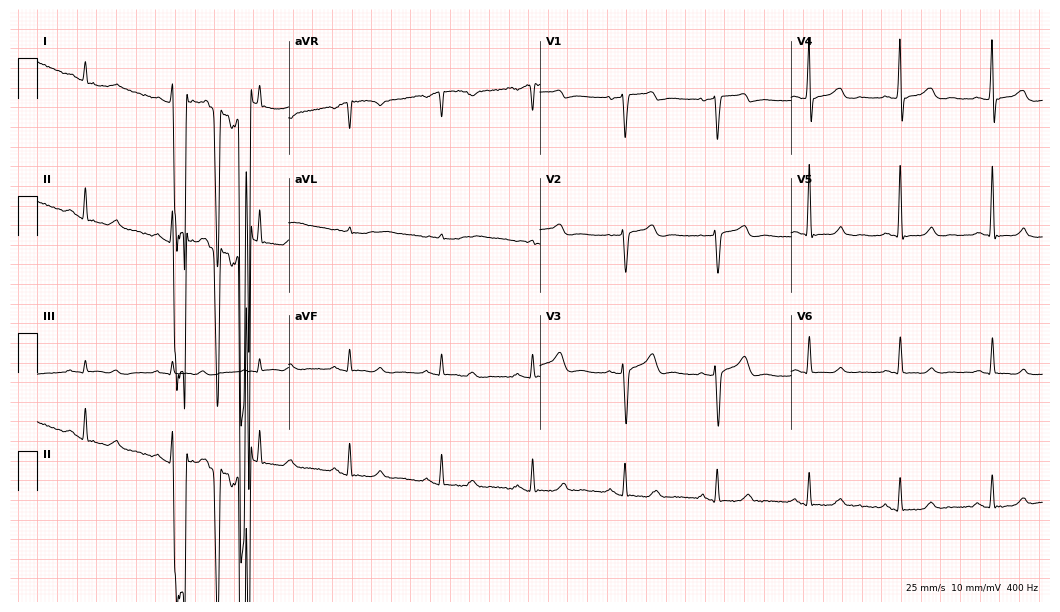
Standard 12-lead ECG recorded from a male patient, 78 years old. None of these six findings is recorded: first-degree AV block, right bundle branch block, left bundle branch block, sinus bradycardia, atrial fibrillation, sinus tachycardia.